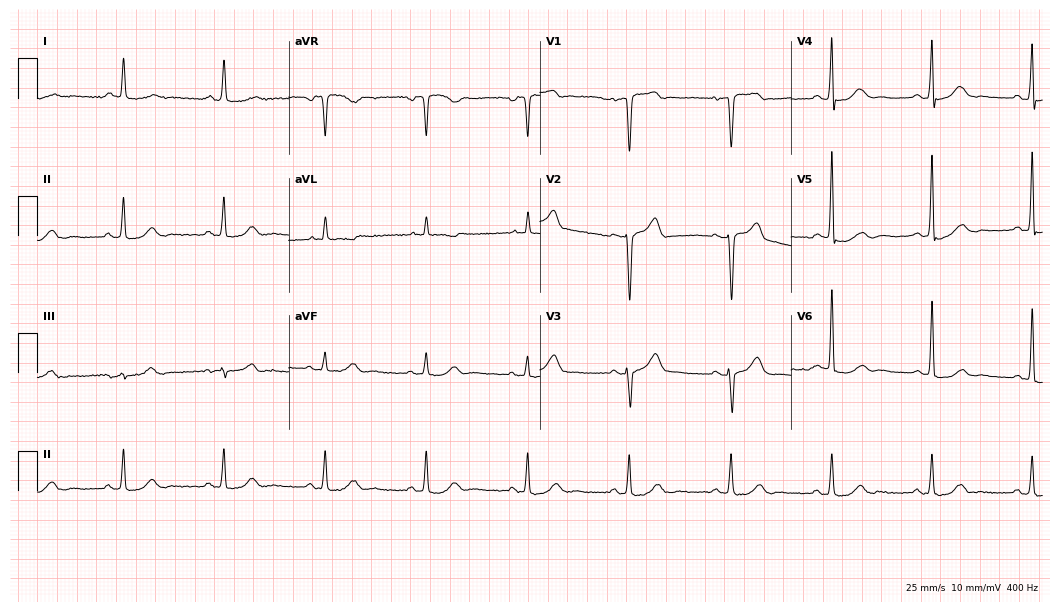
Resting 12-lead electrocardiogram. Patient: a man, 73 years old. None of these six findings is recorded: first-degree AV block, right bundle branch block, left bundle branch block, sinus bradycardia, atrial fibrillation, sinus tachycardia. Findings outside these six are not listed.